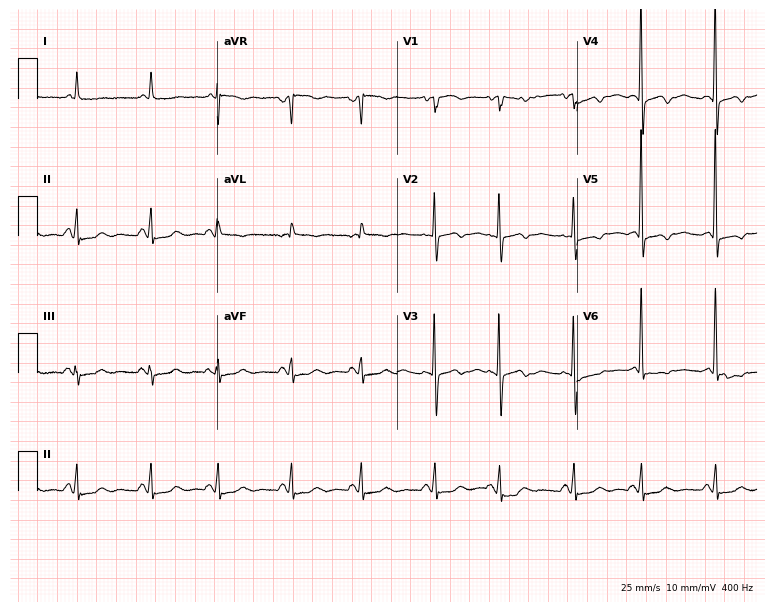
12-lead ECG from a 72-year-old female patient. Screened for six findings — first-degree AV block, right bundle branch block, left bundle branch block, sinus bradycardia, atrial fibrillation, sinus tachycardia — none is recorded.